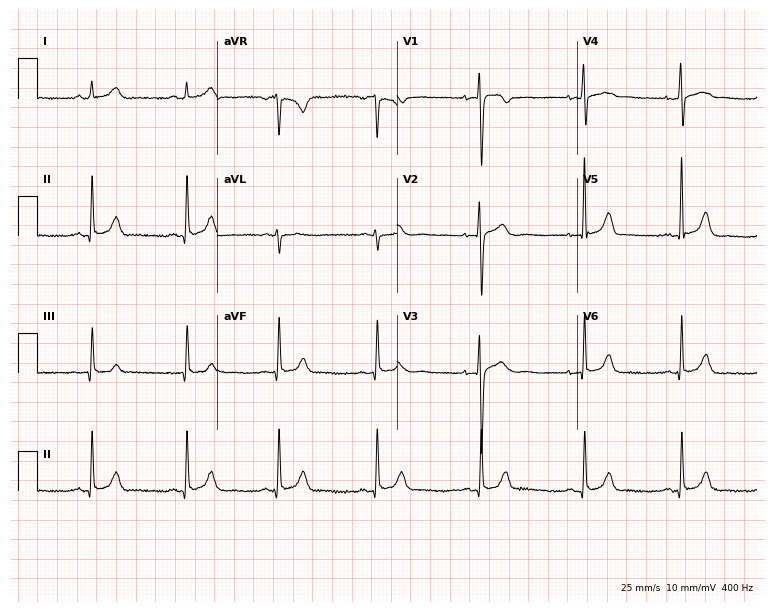
Standard 12-lead ECG recorded from a 35-year-old female patient (7.3-second recording at 400 Hz). Read as a normal ECG.